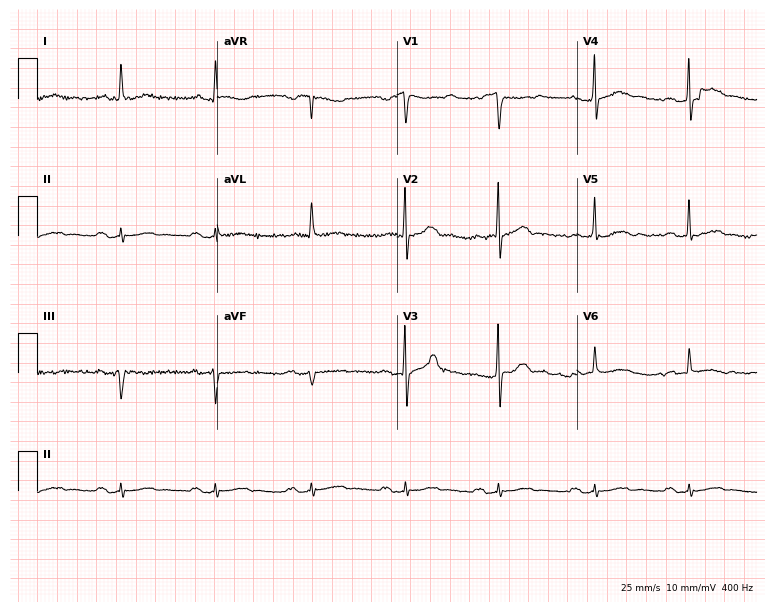
12-lead ECG from a 65-year-old male (7.3-second recording at 400 Hz). Shows first-degree AV block.